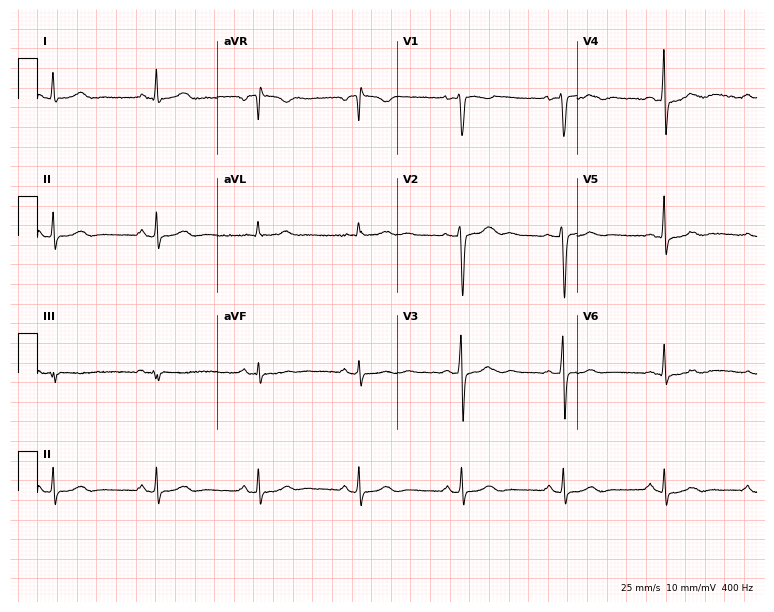
12-lead ECG (7.3-second recording at 400 Hz) from a female patient, 44 years old. Screened for six findings — first-degree AV block, right bundle branch block, left bundle branch block, sinus bradycardia, atrial fibrillation, sinus tachycardia — none is recorded.